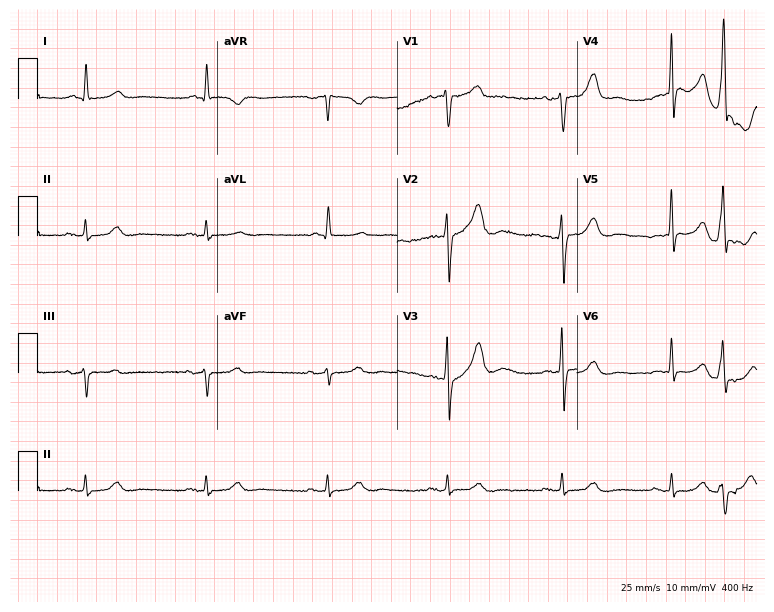
Standard 12-lead ECG recorded from a male patient, 78 years old. None of these six findings is recorded: first-degree AV block, right bundle branch block, left bundle branch block, sinus bradycardia, atrial fibrillation, sinus tachycardia. Other findings, if any, are not listed.